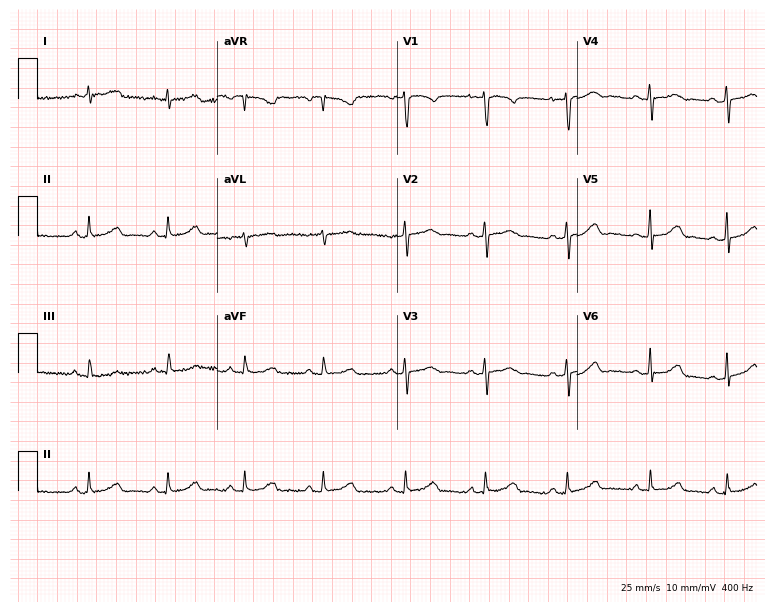
12-lead ECG from a female patient, 17 years old. Recorded interpretation: within normal limits.